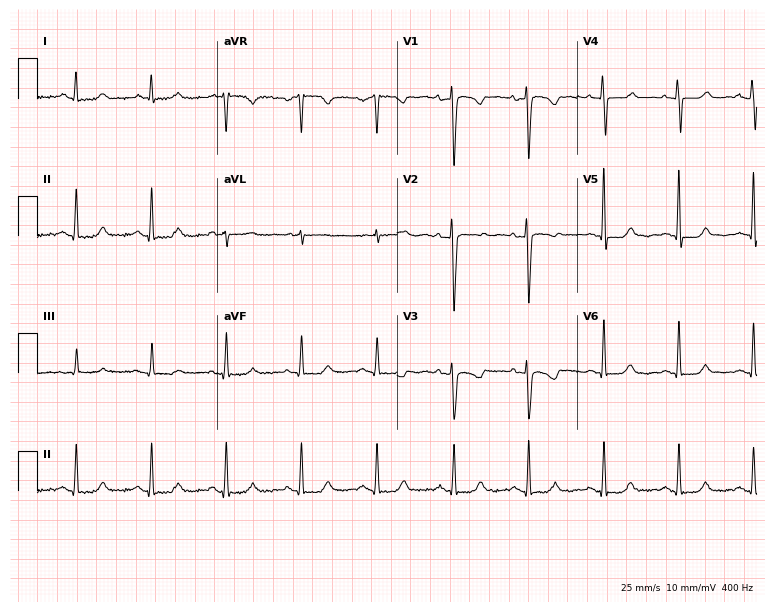
12-lead ECG (7.3-second recording at 400 Hz) from a female, 52 years old. Screened for six findings — first-degree AV block, right bundle branch block (RBBB), left bundle branch block (LBBB), sinus bradycardia, atrial fibrillation (AF), sinus tachycardia — none is recorded.